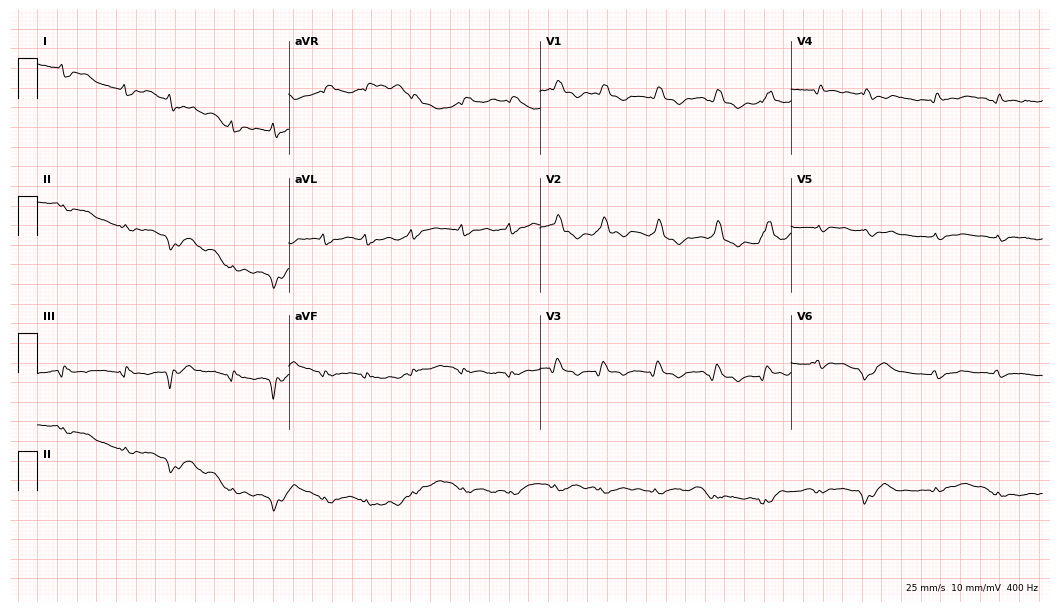
Electrocardiogram (10.2-second recording at 400 Hz), a female patient, 65 years old. Of the six screened findings (first-degree AV block, right bundle branch block, left bundle branch block, sinus bradycardia, atrial fibrillation, sinus tachycardia), none is recorded.